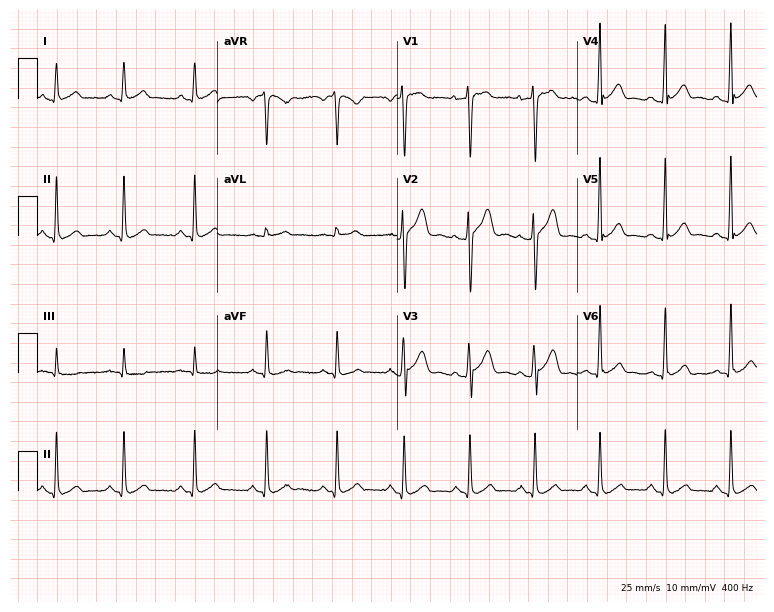
ECG (7.3-second recording at 400 Hz) — a 21-year-old male patient. Screened for six findings — first-degree AV block, right bundle branch block, left bundle branch block, sinus bradycardia, atrial fibrillation, sinus tachycardia — none is recorded. Only these six findings were labelled.